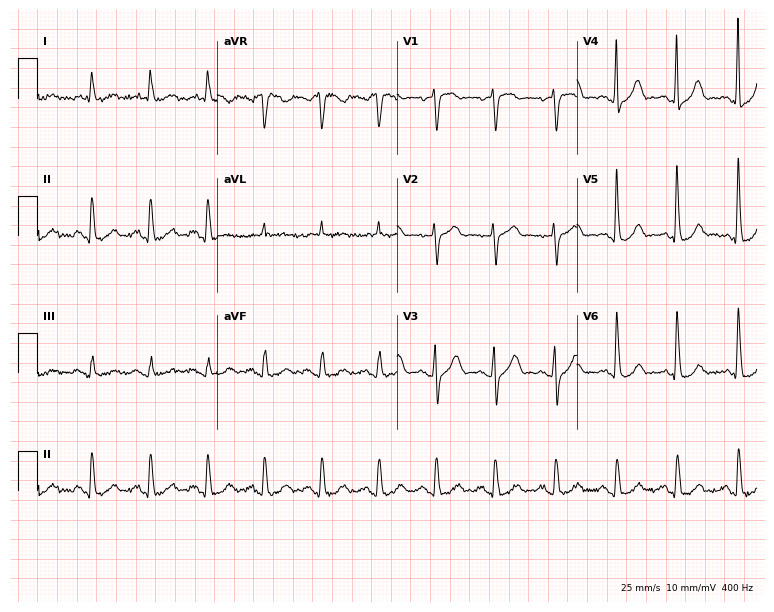
12-lead ECG (7.3-second recording at 400 Hz) from a woman, 78 years old. Screened for six findings — first-degree AV block, right bundle branch block (RBBB), left bundle branch block (LBBB), sinus bradycardia, atrial fibrillation (AF), sinus tachycardia — none is recorded.